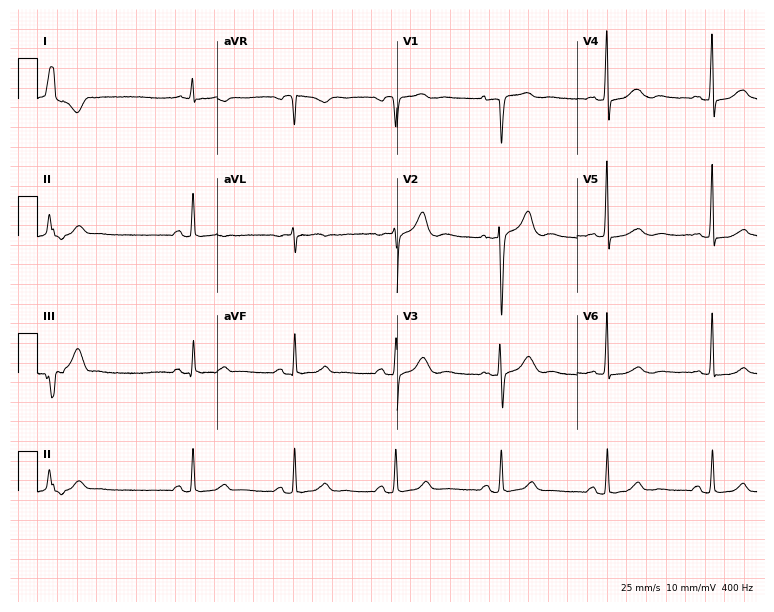
Standard 12-lead ECG recorded from a 64-year-old man. None of these six findings is recorded: first-degree AV block, right bundle branch block, left bundle branch block, sinus bradycardia, atrial fibrillation, sinus tachycardia.